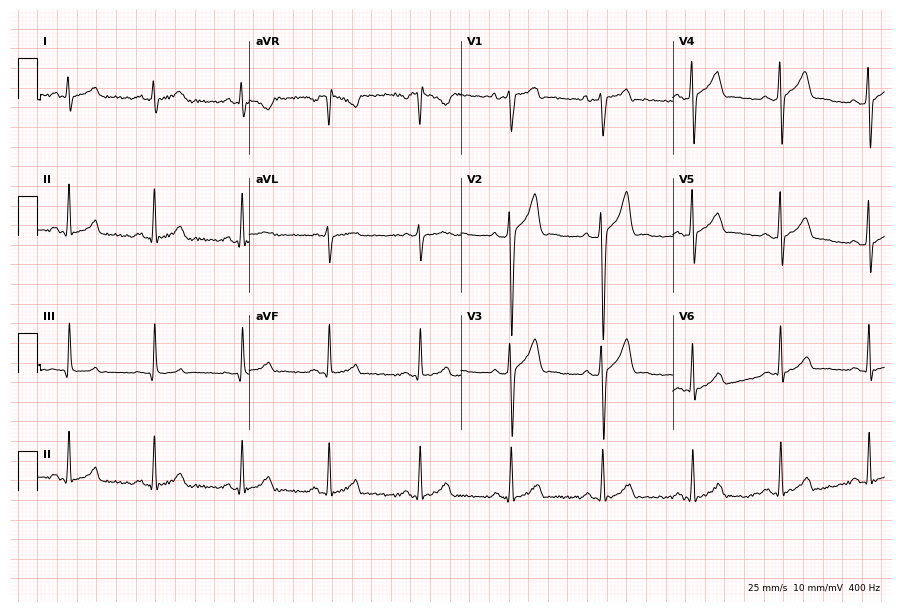
Standard 12-lead ECG recorded from a male patient, 28 years old (8.6-second recording at 400 Hz). Read as a normal ECG.